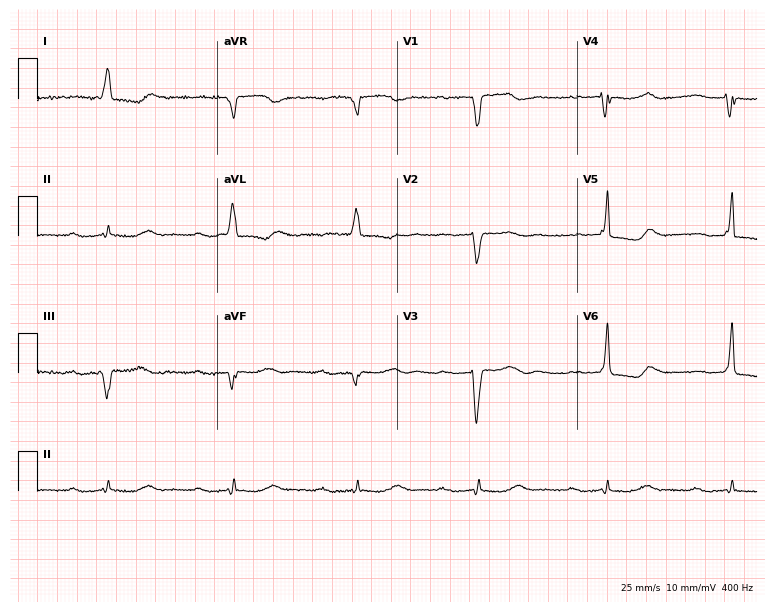
Standard 12-lead ECG recorded from a 79-year-old female. The tracing shows first-degree AV block, left bundle branch block.